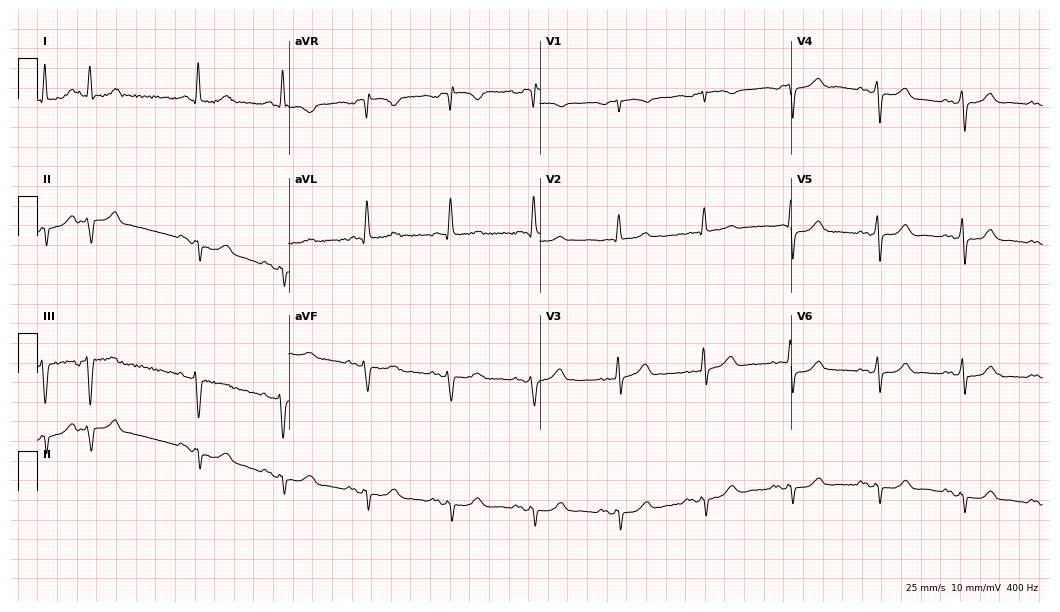
12-lead ECG from a female, 75 years old. Screened for six findings — first-degree AV block, right bundle branch block, left bundle branch block, sinus bradycardia, atrial fibrillation, sinus tachycardia — none is recorded.